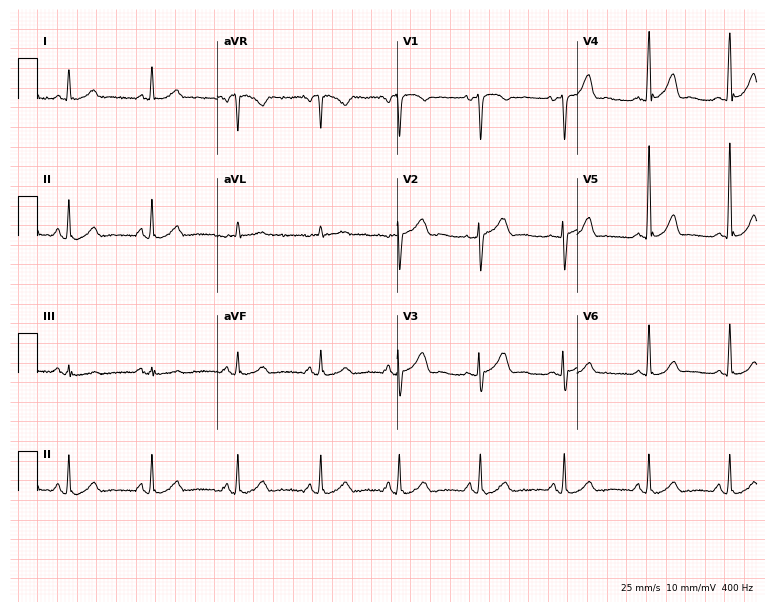
Resting 12-lead electrocardiogram (7.3-second recording at 400 Hz). Patient: a 37-year-old woman. Read as a normal ECG.